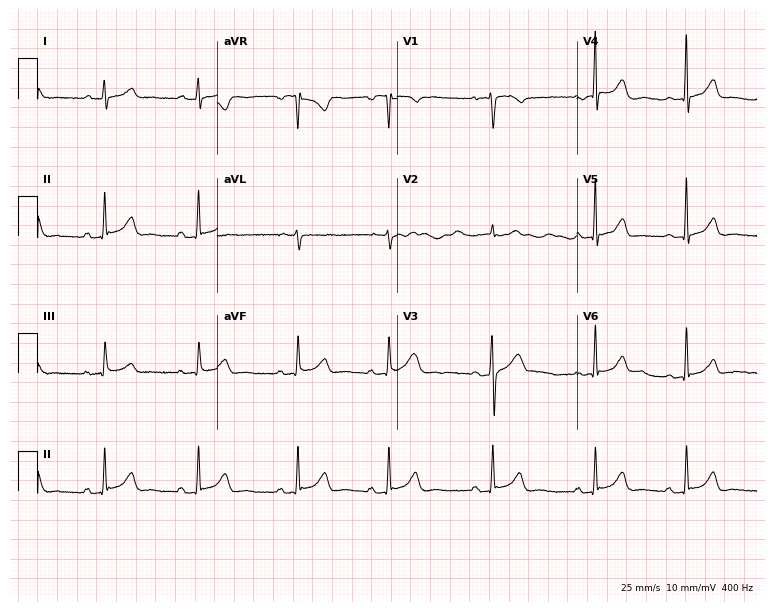
Standard 12-lead ECG recorded from an 18-year-old female (7.3-second recording at 400 Hz). Read as a normal ECG.